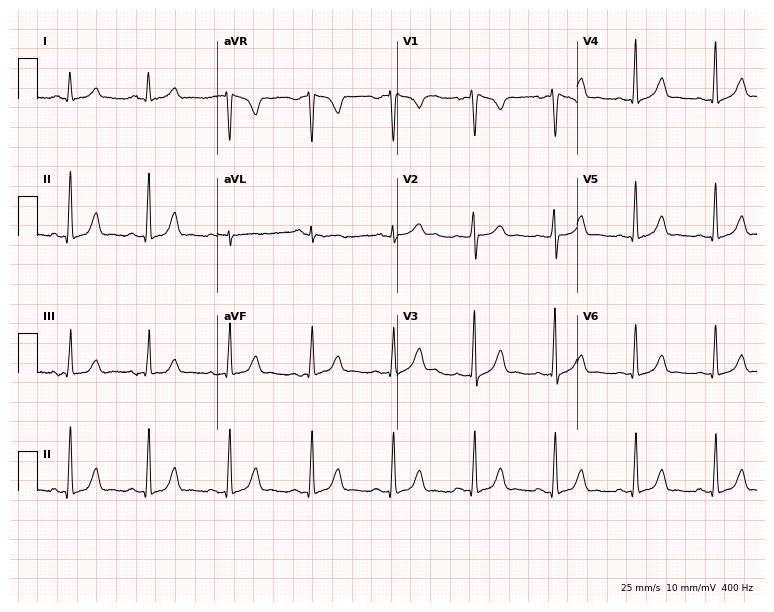
12-lead ECG (7.3-second recording at 400 Hz) from a woman, 45 years old. Screened for six findings — first-degree AV block, right bundle branch block, left bundle branch block, sinus bradycardia, atrial fibrillation, sinus tachycardia — none is recorded. Other findings, if any, are not listed.